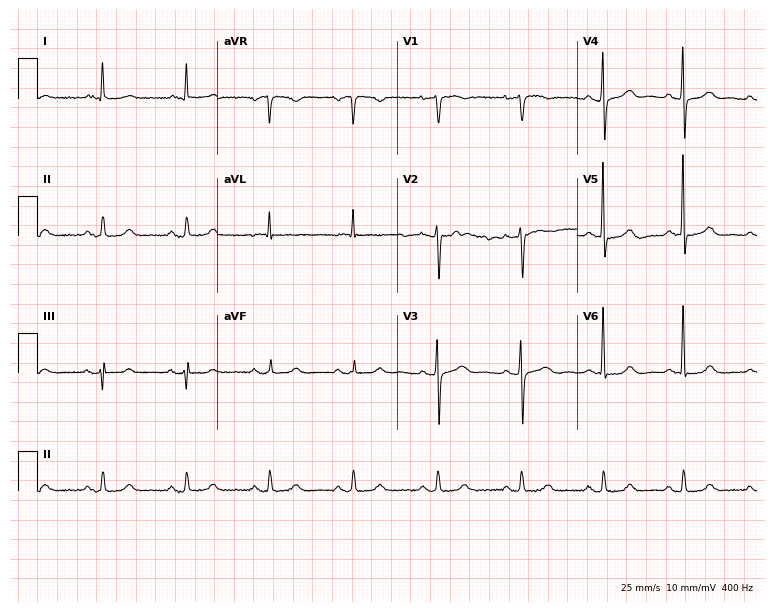
Electrocardiogram (7.3-second recording at 400 Hz), a 74-year-old woman. Overall reading on record: normal ECG.